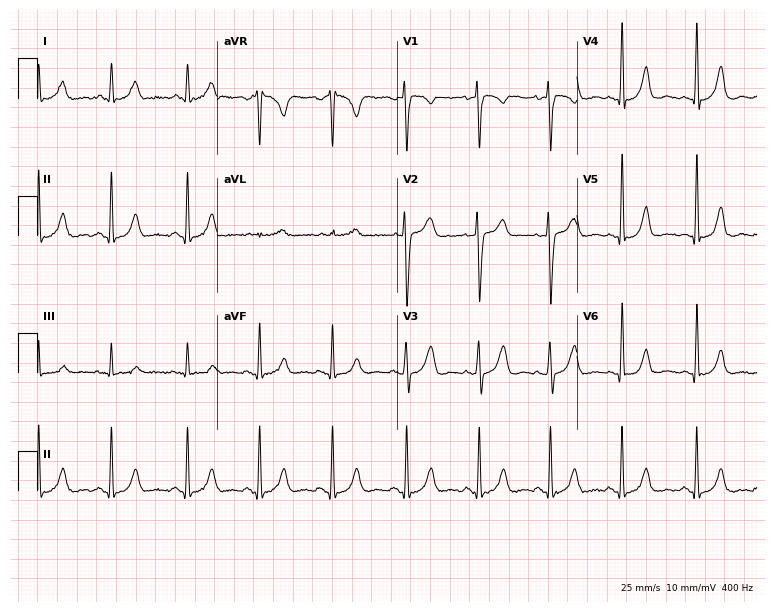
12-lead ECG from a 44-year-old woman. Labelled as a normal ECG.